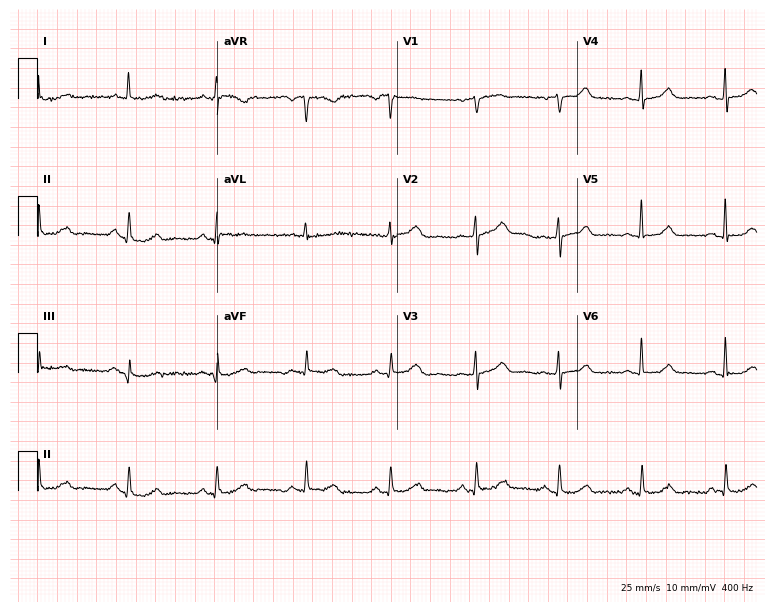
ECG — a female patient, 74 years old. Screened for six findings — first-degree AV block, right bundle branch block, left bundle branch block, sinus bradycardia, atrial fibrillation, sinus tachycardia — none is recorded. Only these six findings were labelled.